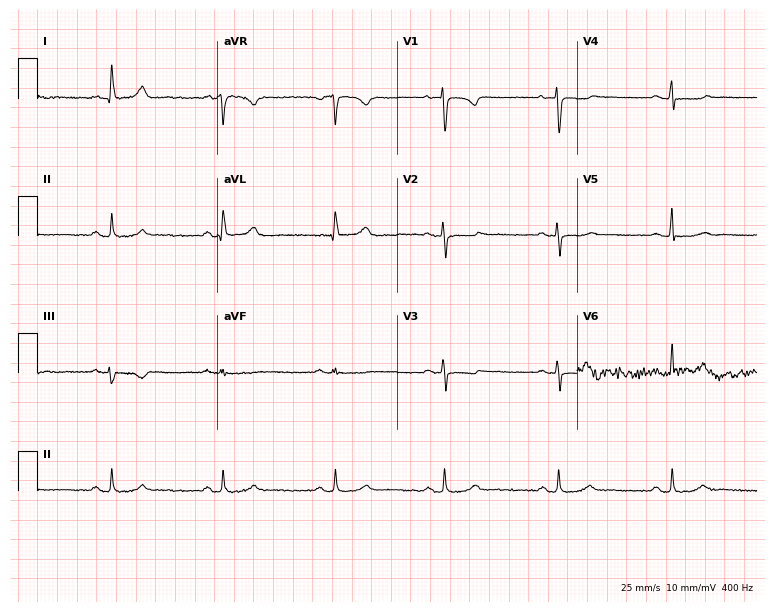
12-lead ECG (7.3-second recording at 400 Hz) from a female patient, 51 years old. Labelled as a normal ECG.